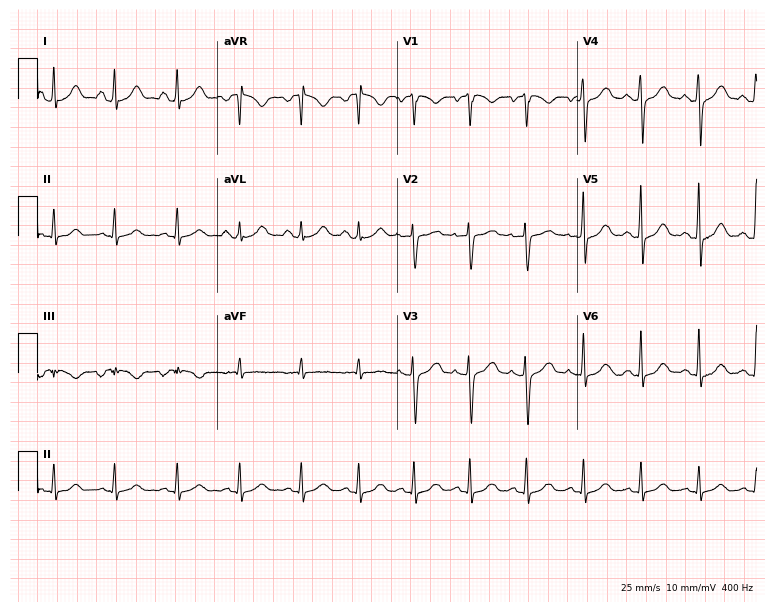
12-lead ECG from a 36-year-old male. Screened for six findings — first-degree AV block, right bundle branch block, left bundle branch block, sinus bradycardia, atrial fibrillation, sinus tachycardia — none is recorded. Findings outside these six are not listed.